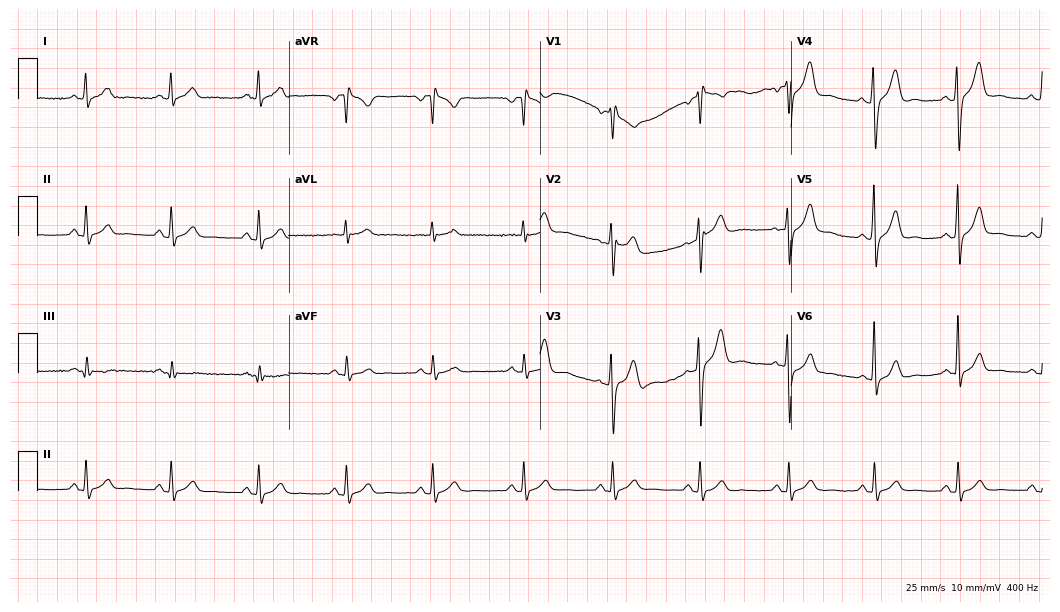
12-lead ECG from a man, 32 years old (10.2-second recording at 400 Hz). No first-degree AV block, right bundle branch block, left bundle branch block, sinus bradycardia, atrial fibrillation or sinus tachycardia recorded for this tracing. Findings outside these six are not listed.